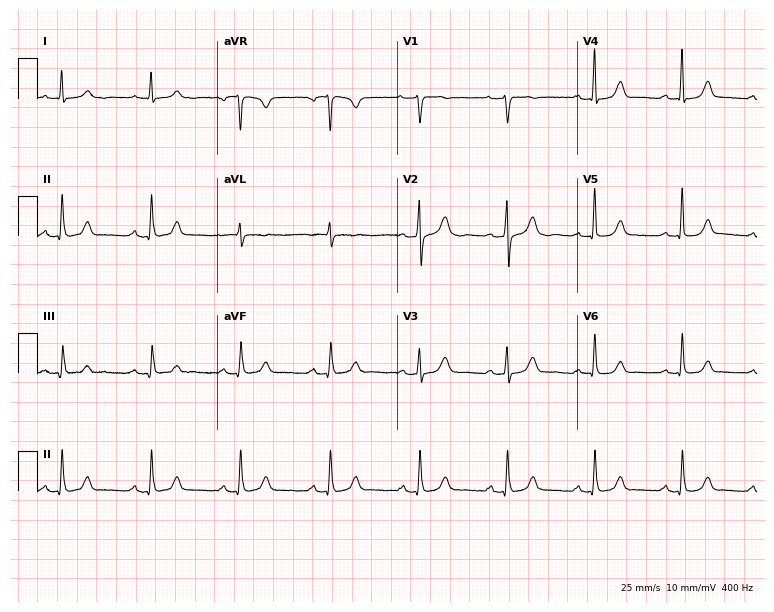
12-lead ECG from a 53-year-old woman. Screened for six findings — first-degree AV block, right bundle branch block, left bundle branch block, sinus bradycardia, atrial fibrillation, sinus tachycardia — none is recorded. Findings outside these six are not listed.